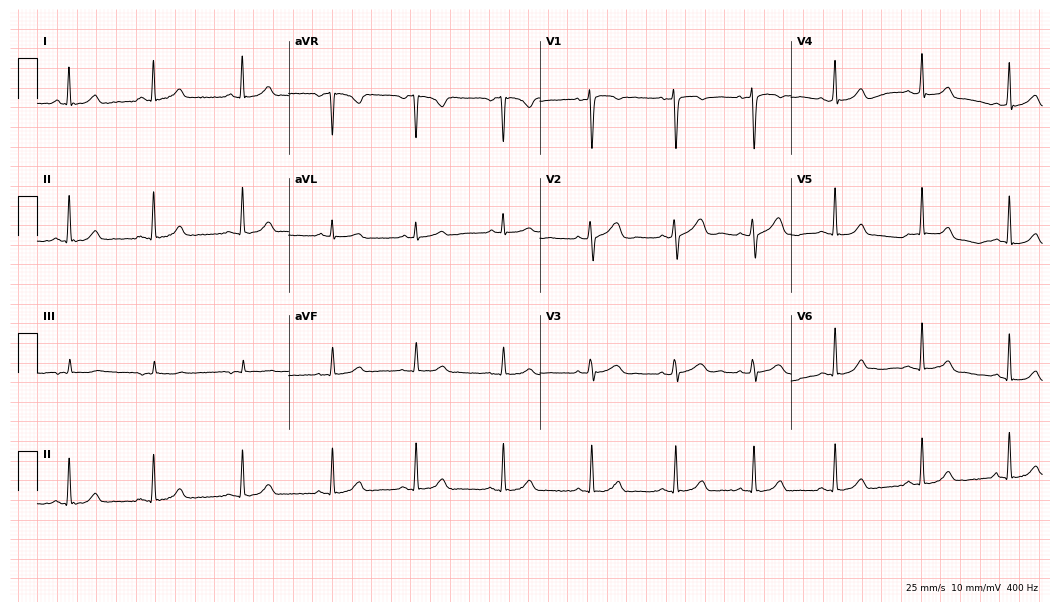
Standard 12-lead ECG recorded from a 32-year-old woman (10.2-second recording at 400 Hz). Read as a normal ECG.